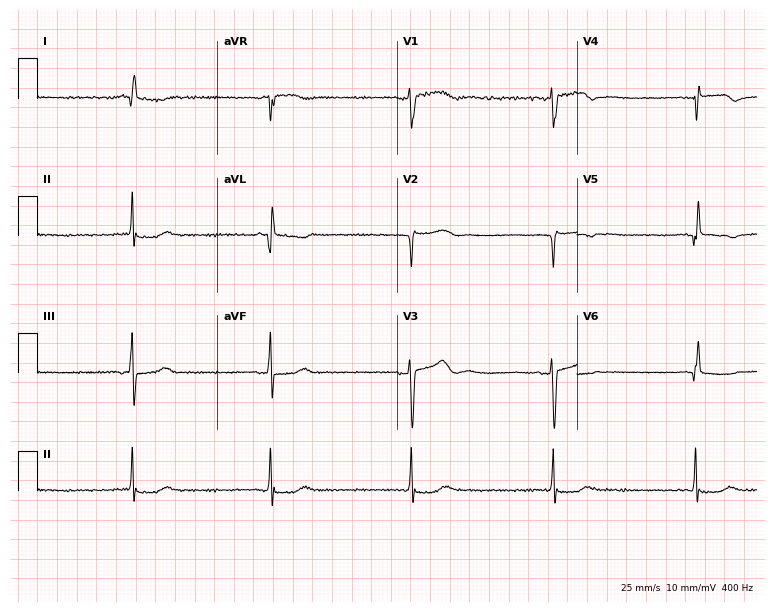
Standard 12-lead ECG recorded from a woman, 77 years old (7.3-second recording at 400 Hz). None of these six findings is recorded: first-degree AV block, right bundle branch block, left bundle branch block, sinus bradycardia, atrial fibrillation, sinus tachycardia. Other findings, if any, are not listed.